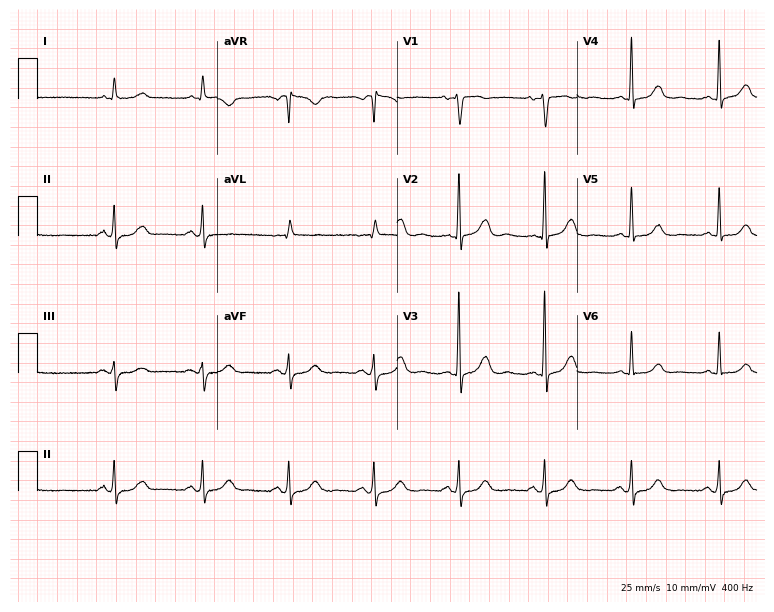
12-lead ECG from a 64-year-old woman (7.3-second recording at 400 Hz). Recorded interpretation: within normal limits.